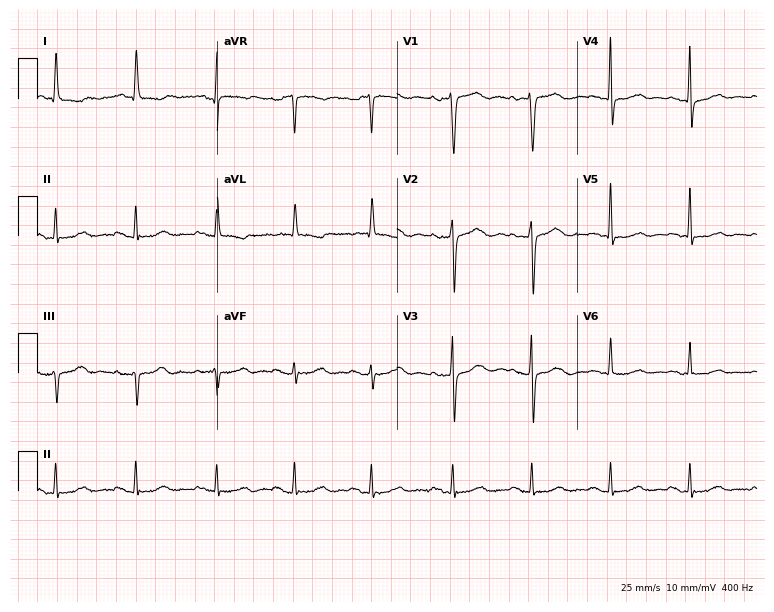
ECG (7.3-second recording at 400 Hz) — a woman, 79 years old. Screened for six findings — first-degree AV block, right bundle branch block (RBBB), left bundle branch block (LBBB), sinus bradycardia, atrial fibrillation (AF), sinus tachycardia — none is recorded. Findings outside these six are not listed.